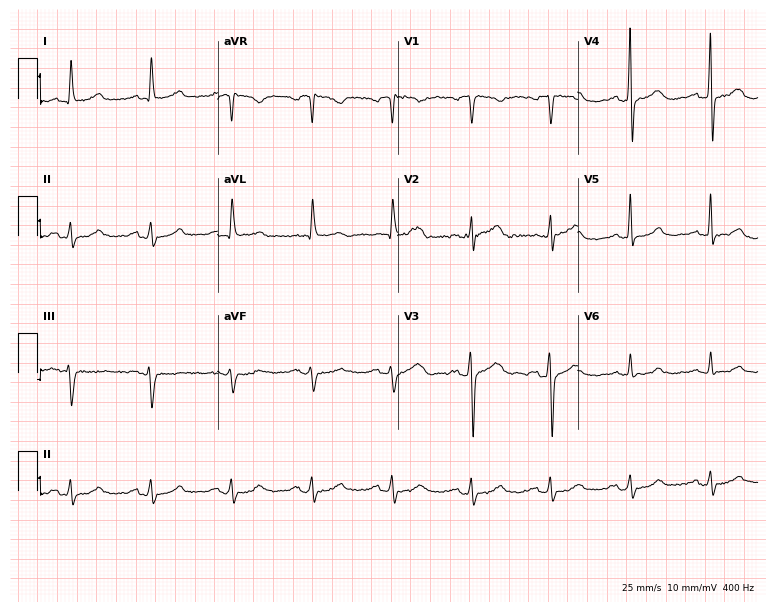
Standard 12-lead ECG recorded from a 76-year-old male (7.3-second recording at 400 Hz). None of these six findings is recorded: first-degree AV block, right bundle branch block (RBBB), left bundle branch block (LBBB), sinus bradycardia, atrial fibrillation (AF), sinus tachycardia.